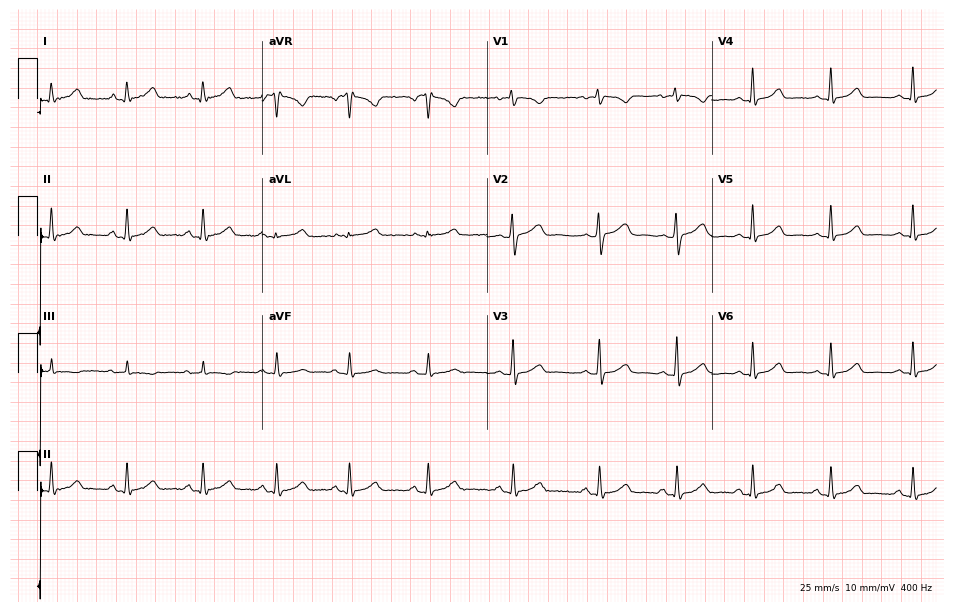
ECG (9.2-second recording at 400 Hz) — a 21-year-old female. Labelled as a normal ECG.